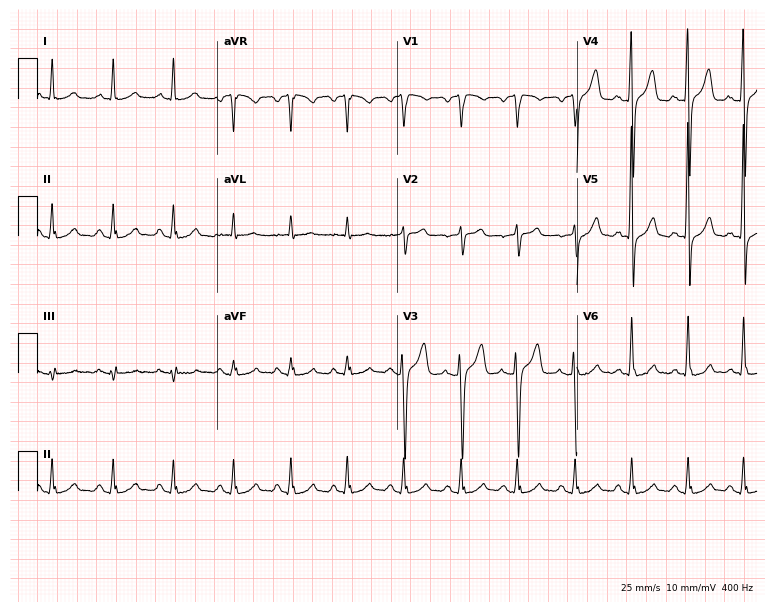
Standard 12-lead ECG recorded from a man, 60 years old (7.3-second recording at 400 Hz). Read as a normal ECG.